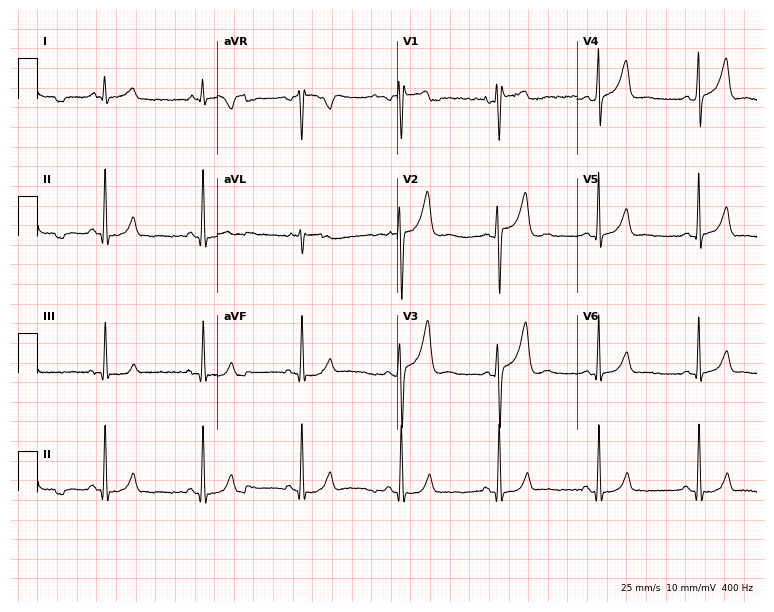
Resting 12-lead electrocardiogram. Patient: a male, 57 years old. Read as a normal ECG.